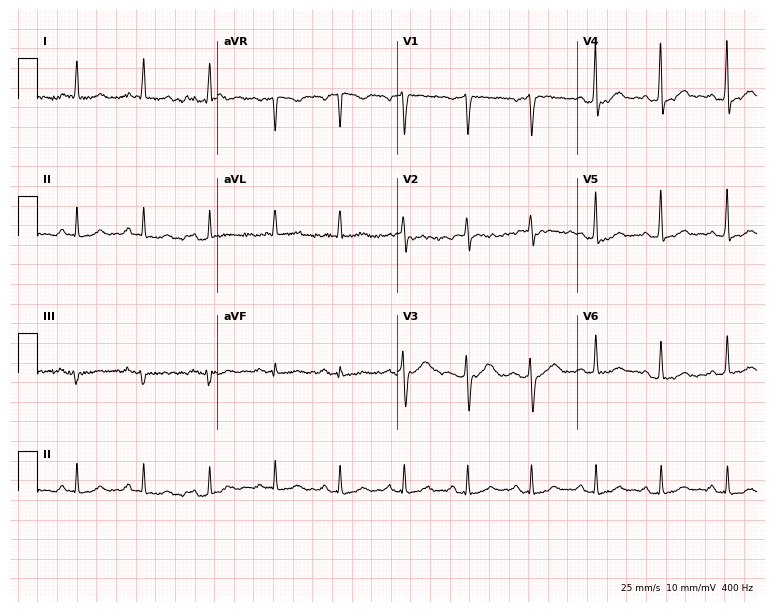
Standard 12-lead ECG recorded from a 48-year-old male (7.3-second recording at 400 Hz). Read as a normal ECG.